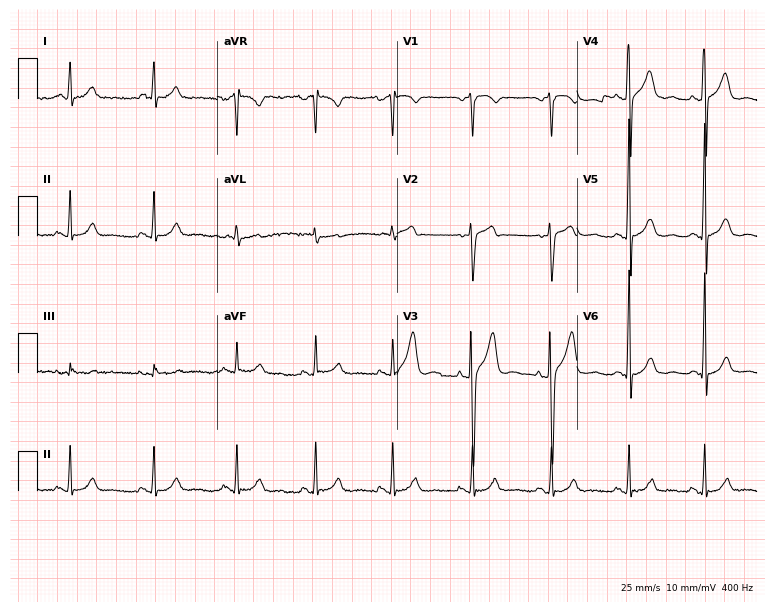
Resting 12-lead electrocardiogram (7.3-second recording at 400 Hz). Patient: a 49-year-old male. Read as a normal ECG.